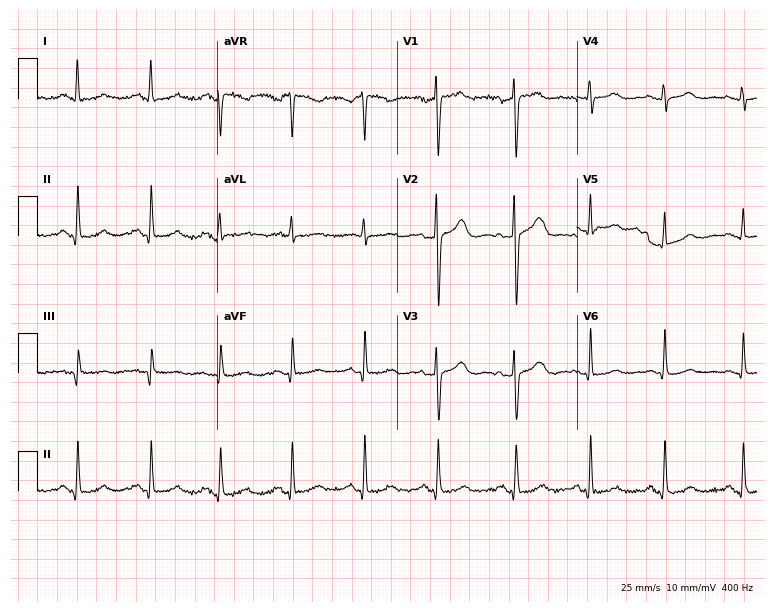
Electrocardiogram (7.3-second recording at 400 Hz), a 23-year-old female. Of the six screened findings (first-degree AV block, right bundle branch block (RBBB), left bundle branch block (LBBB), sinus bradycardia, atrial fibrillation (AF), sinus tachycardia), none is recorded. Only these six findings were labelled.